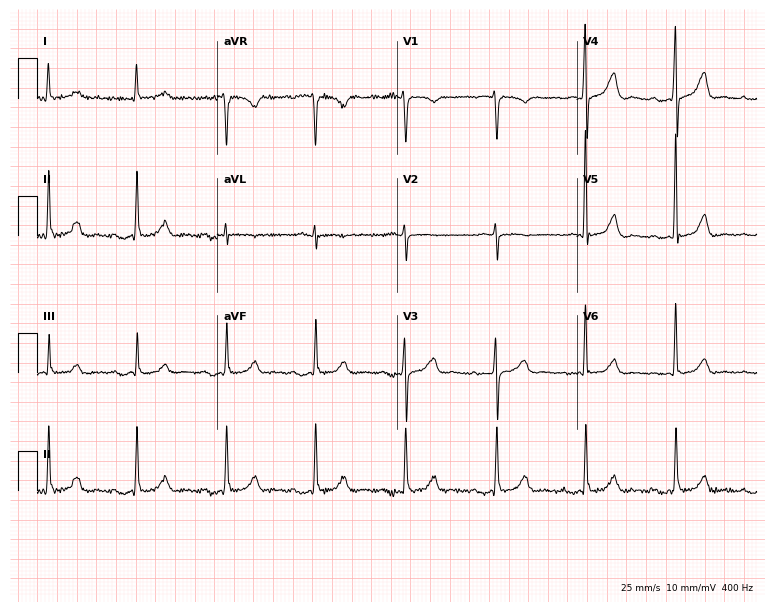
Resting 12-lead electrocardiogram. Patient: a 72-year-old female. The tracing shows first-degree AV block.